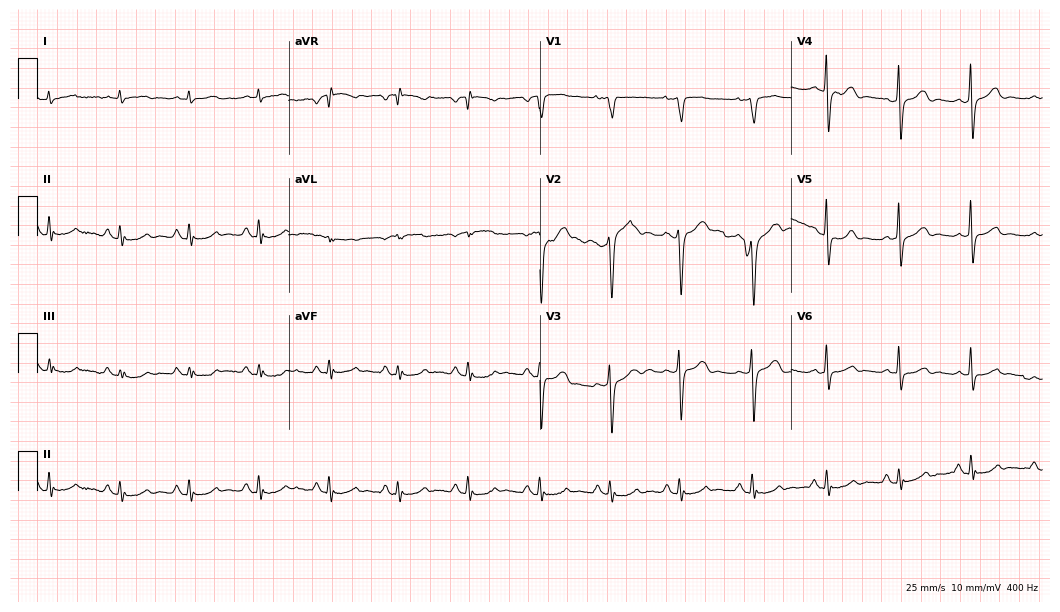
ECG (10.2-second recording at 400 Hz) — a 65-year-old man. Screened for six findings — first-degree AV block, right bundle branch block, left bundle branch block, sinus bradycardia, atrial fibrillation, sinus tachycardia — none is recorded.